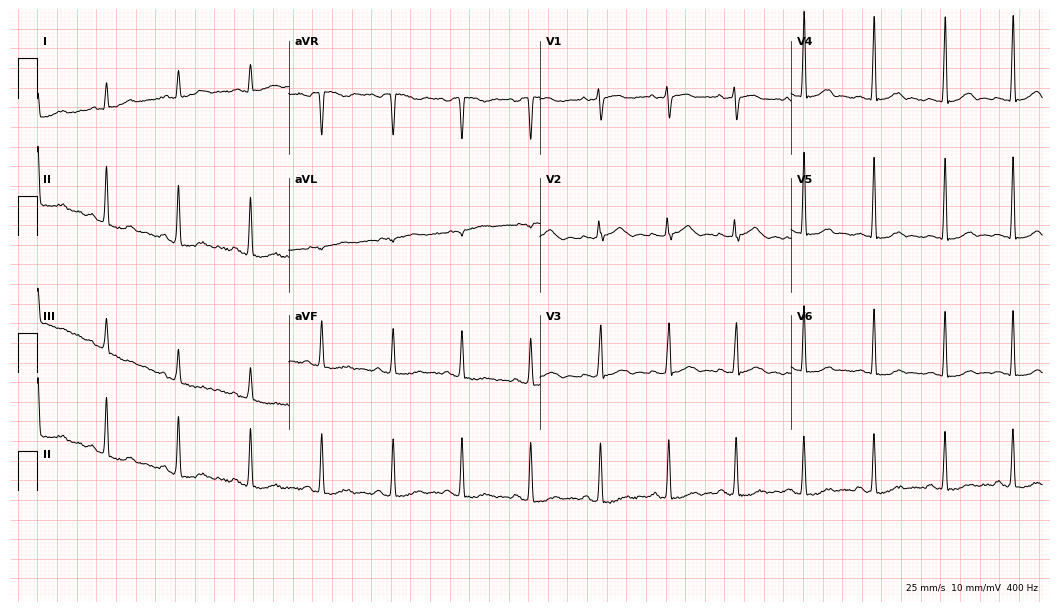
Electrocardiogram (10.2-second recording at 400 Hz), a 33-year-old woman. Overall reading on record: normal ECG.